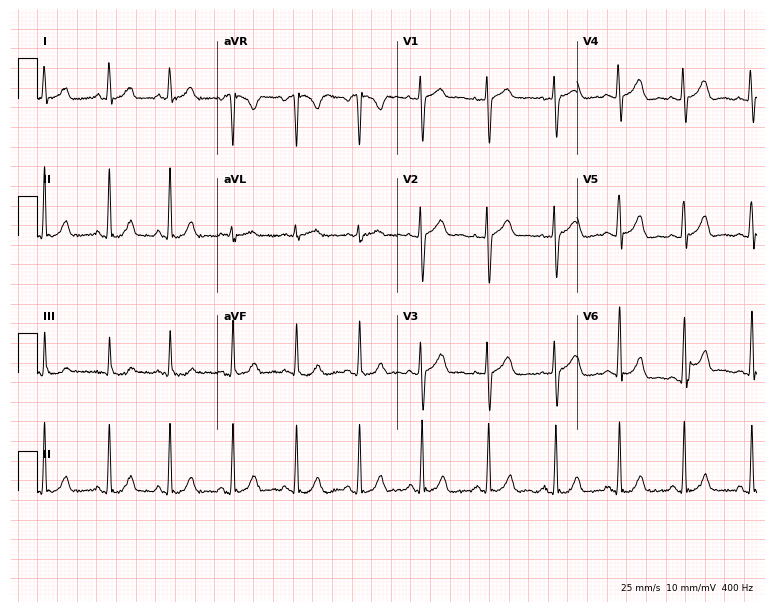
Resting 12-lead electrocardiogram (7.3-second recording at 400 Hz). Patient: a woman, 25 years old. Read as a normal ECG.